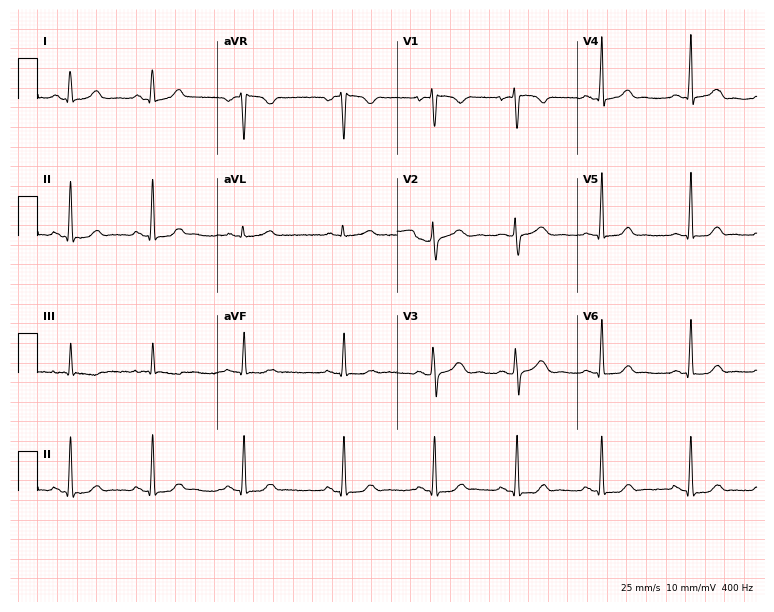
Resting 12-lead electrocardiogram. Patient: a woman, 29 years old. Read as a normal ECG.